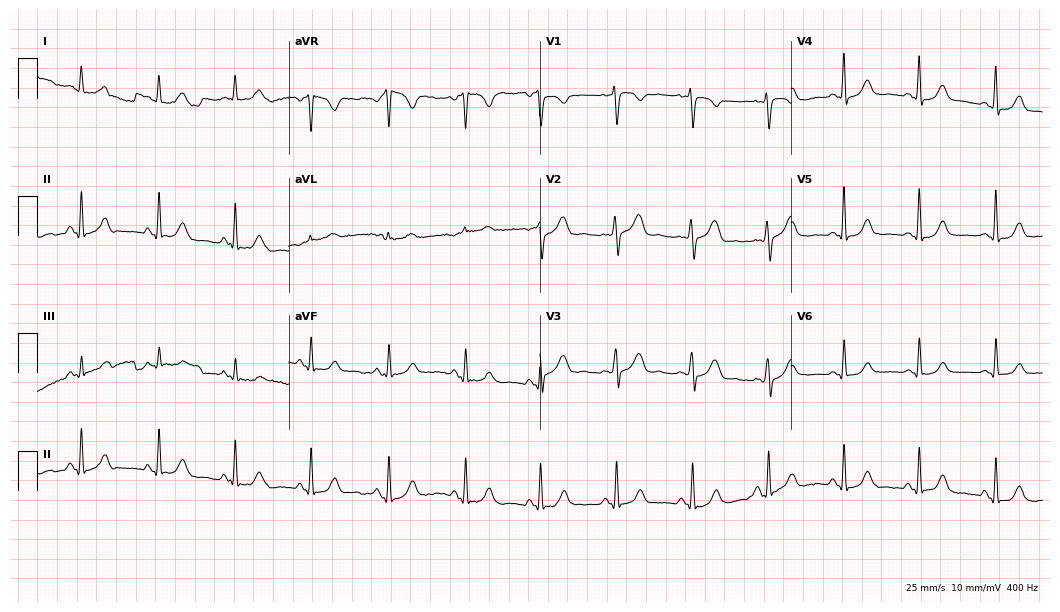
Standard 12-lead ECG recorded from a 57-year-old female (10.2-second recording at 400 Hz). Read as a normal ECG.